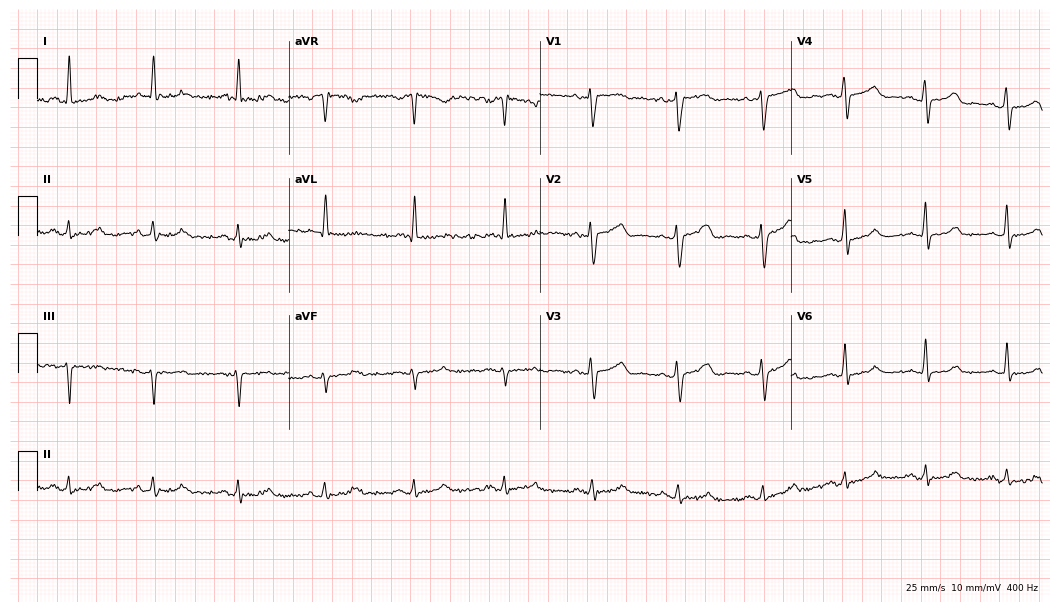
Electrocardiogram, a 52-year-old woman. Overall reading on record: normal ECG.